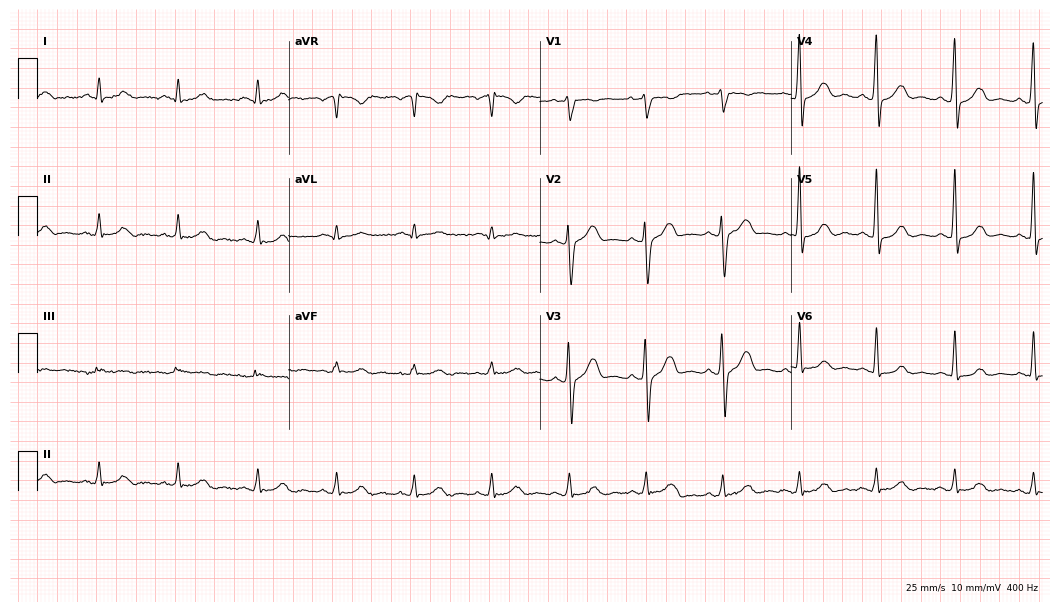
12-lead ECG from a 39-year-old man. Labelled as a normal ECG.